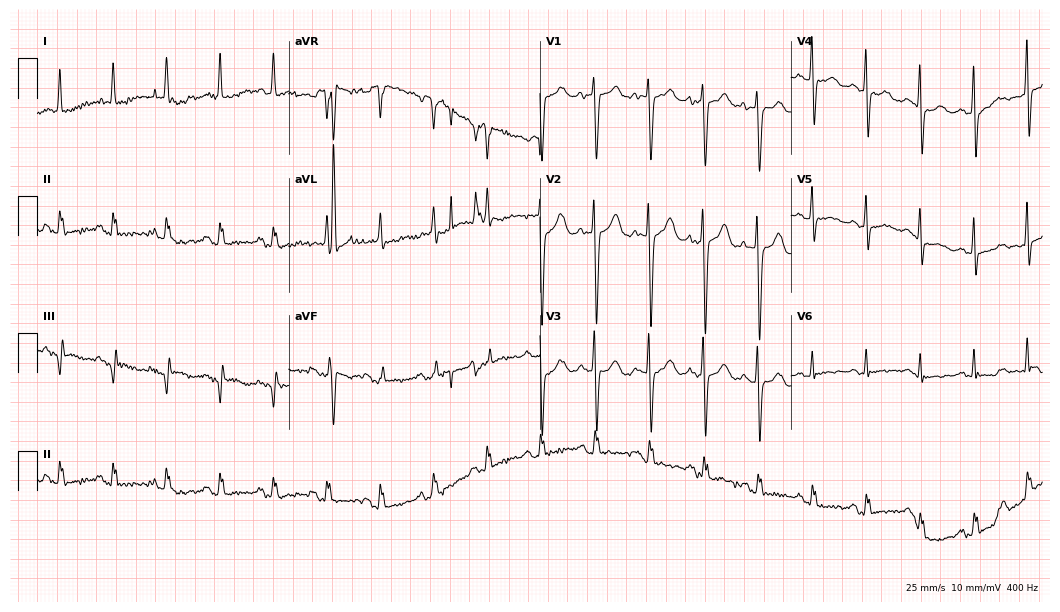
ECG (10.2-second recording at 400 Hz) — a female patient, 56 years old. Findings include sinus tachycardia (a sinus rate of 100 beats per minute or more).